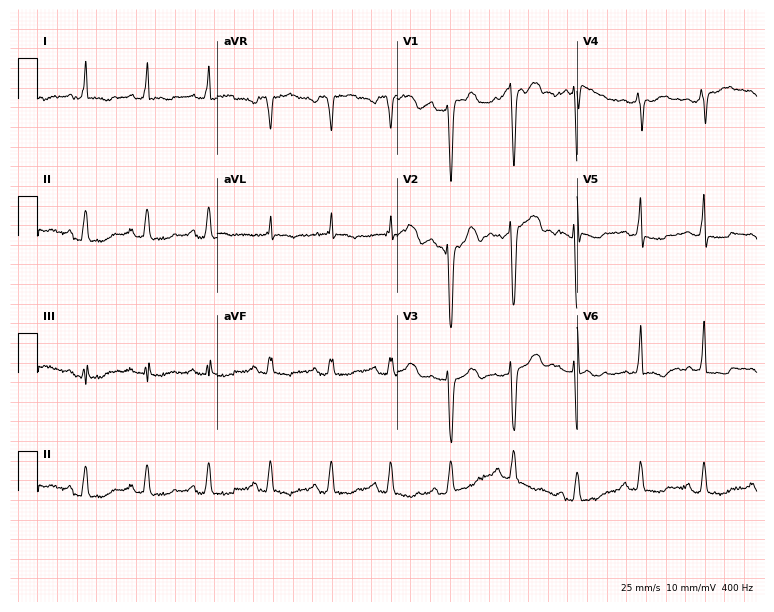
Electrocardiogram, a 68-year-old female. Of the six screened findings (first-degree AV block, right bundle branch block (RBBB), left bundle branch block (LBBB), sinus bradycardia, atrial fibrillation (AF), sinus tachycardia), none is recorded.